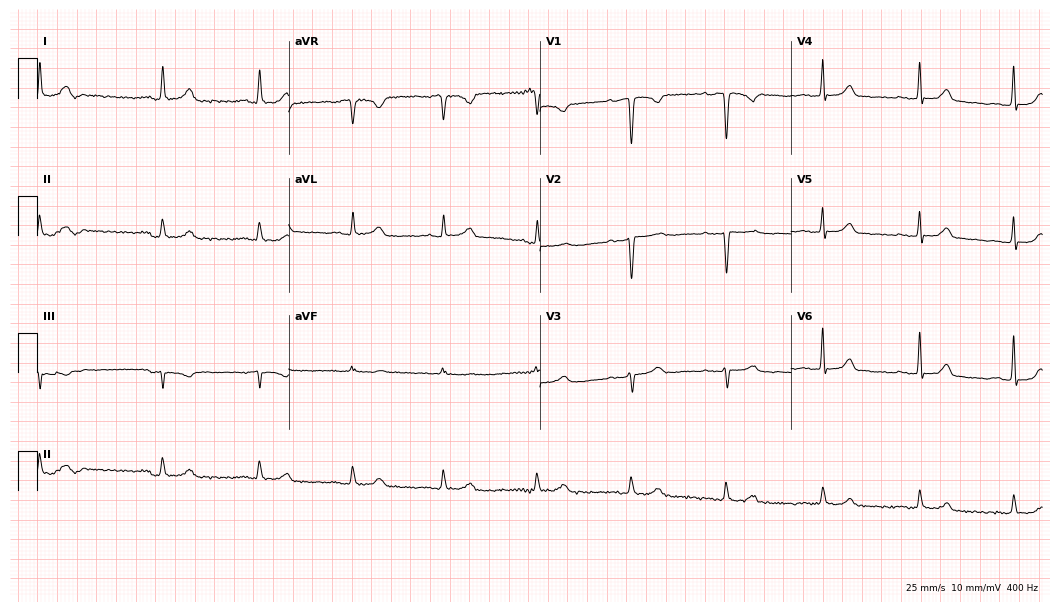
Resting 12-lead electrocardiogram. Patient: a woman, 53 years old. Read as a normal ECG.